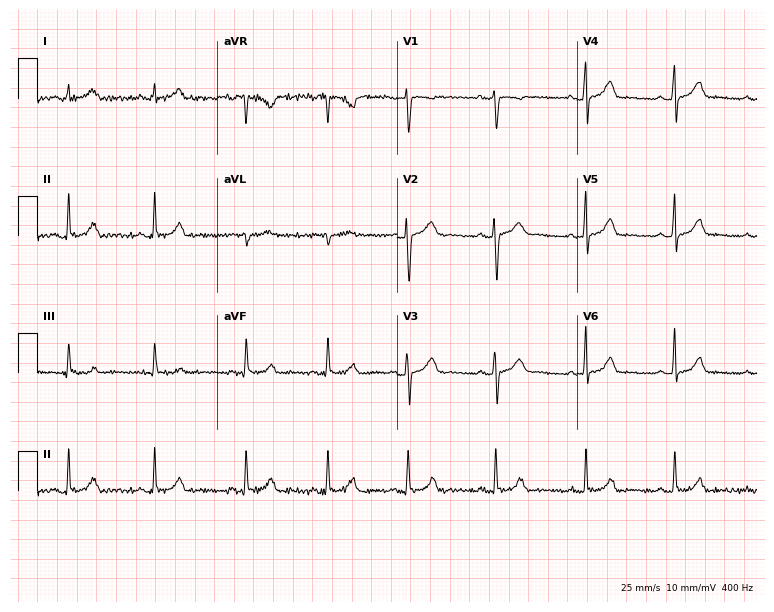
Standard 12-lead ECG recorded from a female patient, 23 years old (7.3-second recording at 400 Hz). Read as a normal ECG.